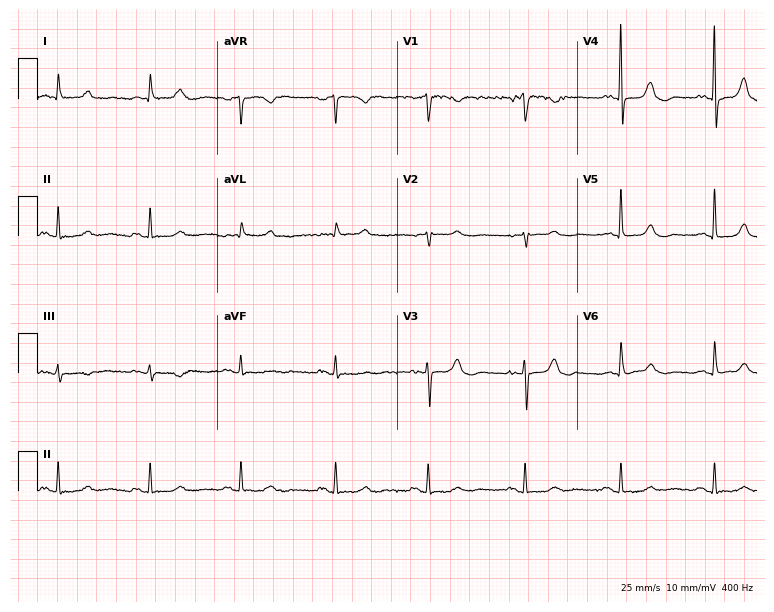
12-lead ECG from a female patient, 82 years old (7.3-second recording at 400 Hz). Recorded interpretation: within normal limits.